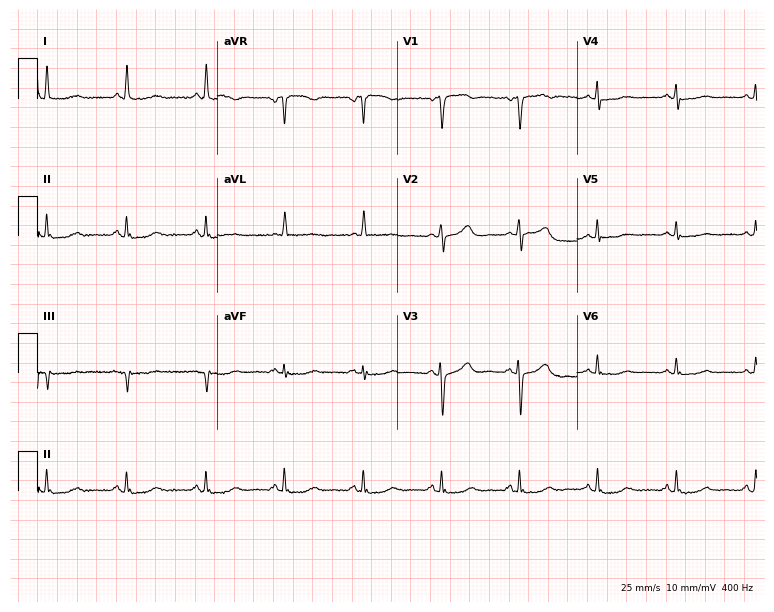
Standard 12-lead ECG recorded from a 66-year-old female (7.3-second recording at 400 Hz). Read as a normal ECG.